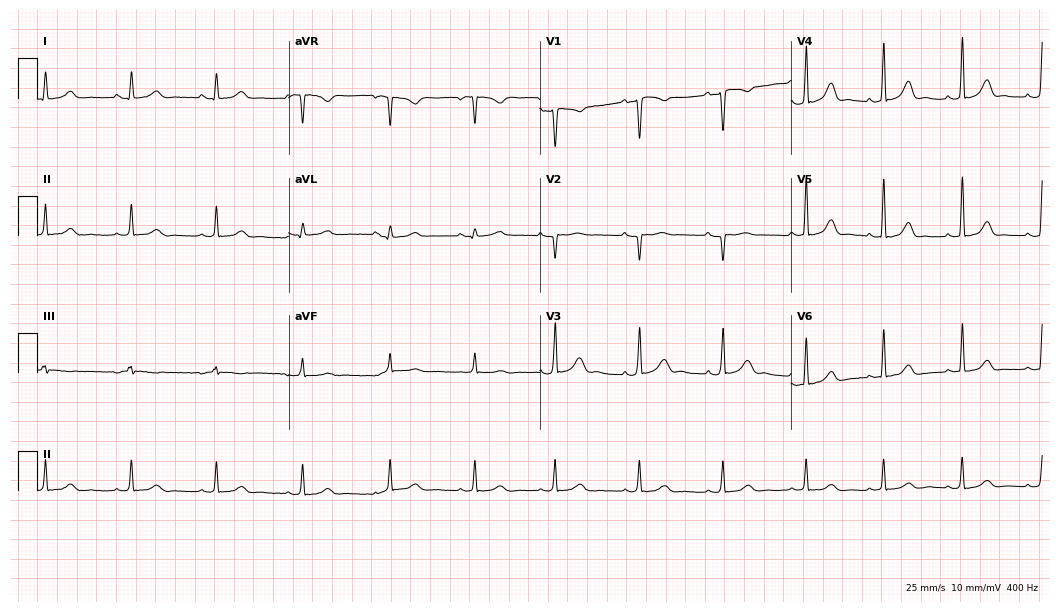
ECG — an 18-year-old woman. Screened for six findings — first-degree AV block, right bundle branch block (RBBB), left bundle branch block (LBBB), sinus bradycardia, atrial fibrillation (AF), sinus tachycardia — none is recorded. Findings outside these six are not listed.